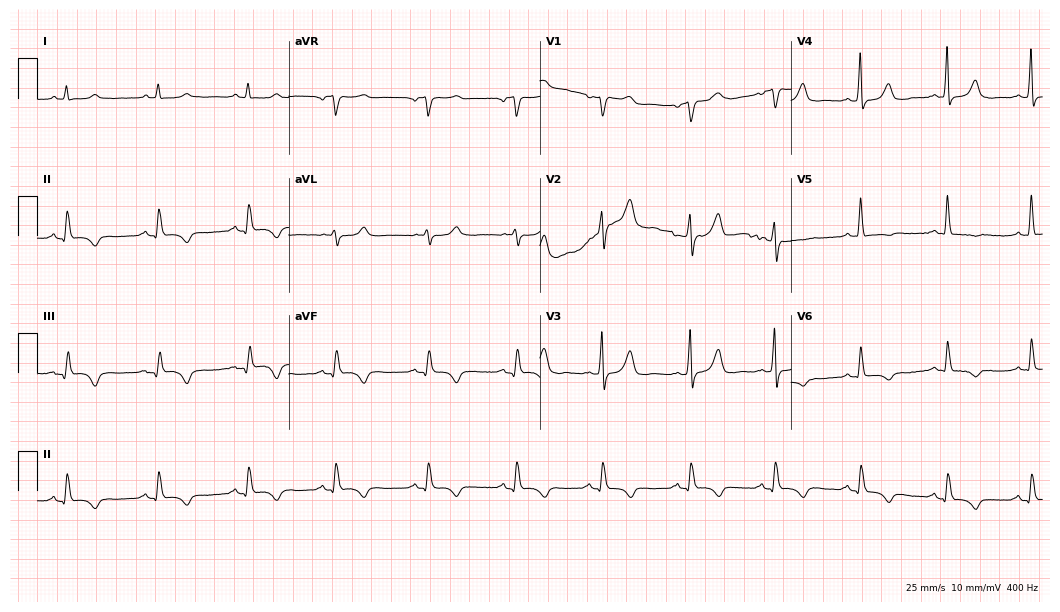
12-lead ECG from a female, 75 years old (10.2-second recording at 400 Hz). No first-degree AV block, right bundle branch block, left bundle branch block, sinus bradycardia, atrial fibrillation or sinus tachycardia recorded for this tracing.